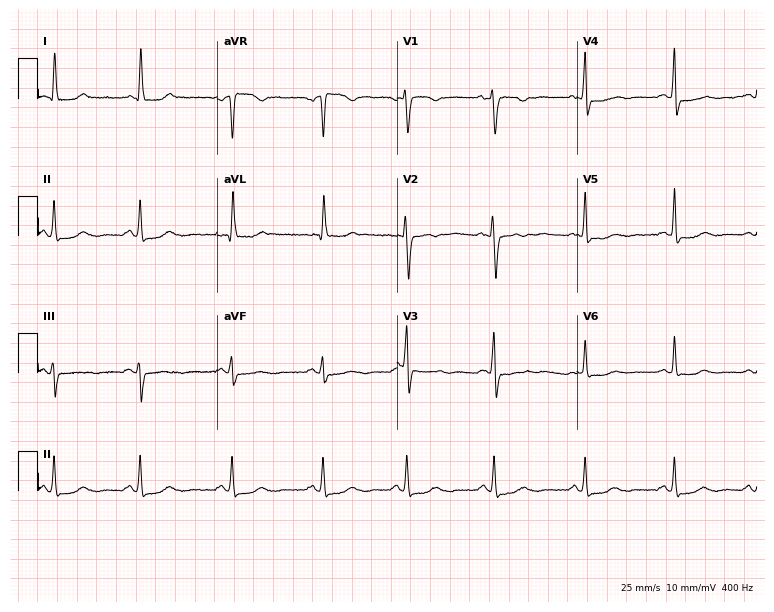
ECG (7.3-second recording at 400 Hz) — a woman, 46 years old. Screened for six findings — first-degree AV block, right bundle branch block, left bundle branch block, sinus bradycardia, atrial fibrillation, sinus tachycardia — none is recorded.